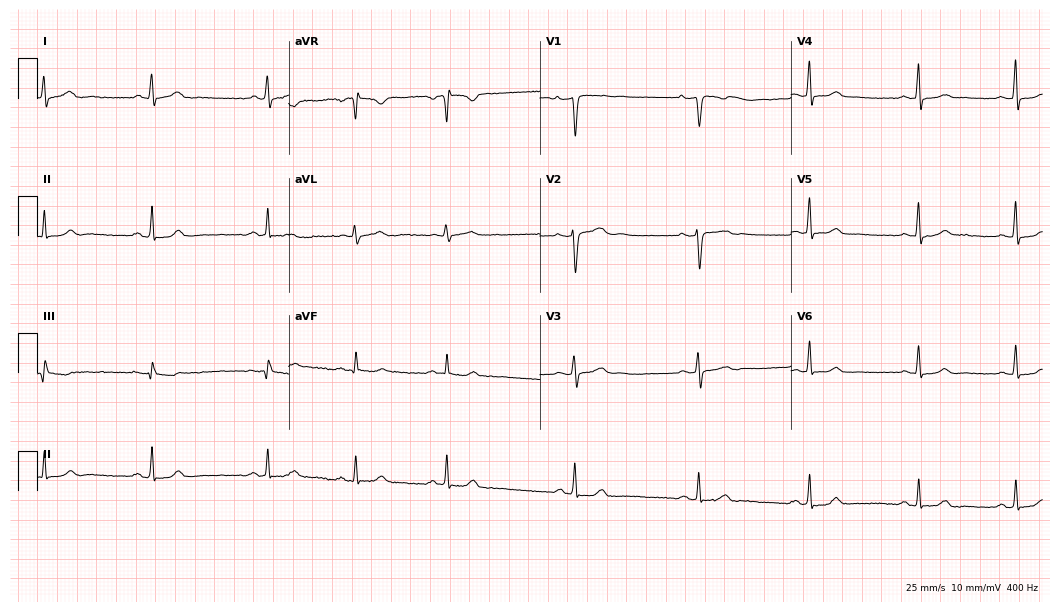
12-lead ECG from a 39-year-old female patient. Screened for six findings — first-degree AV block, right bundle branch block, left bundle branch block, sinus bradycardia, atrial fibrillation, sinus tachycardia — none is recorded.